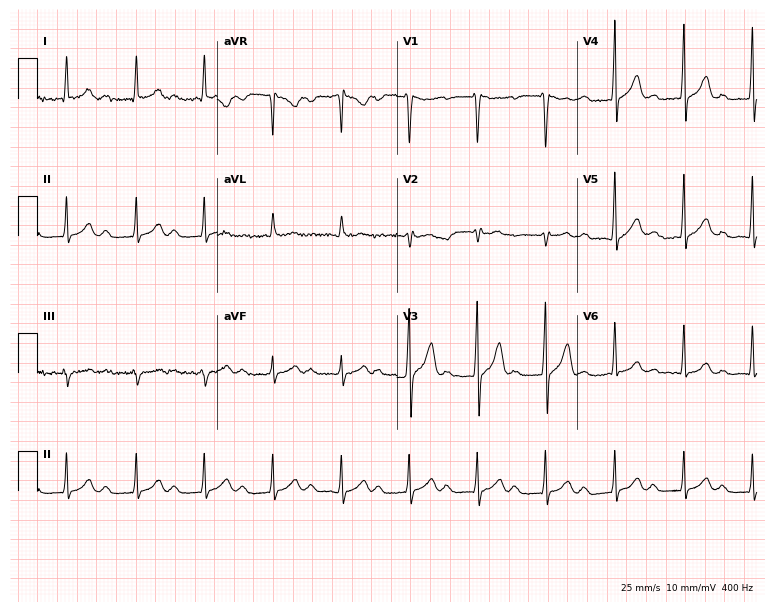
12-lead ECG from a 46-year-old male (7.3-second recording at 400 Hz). Shows first-degree AV block.